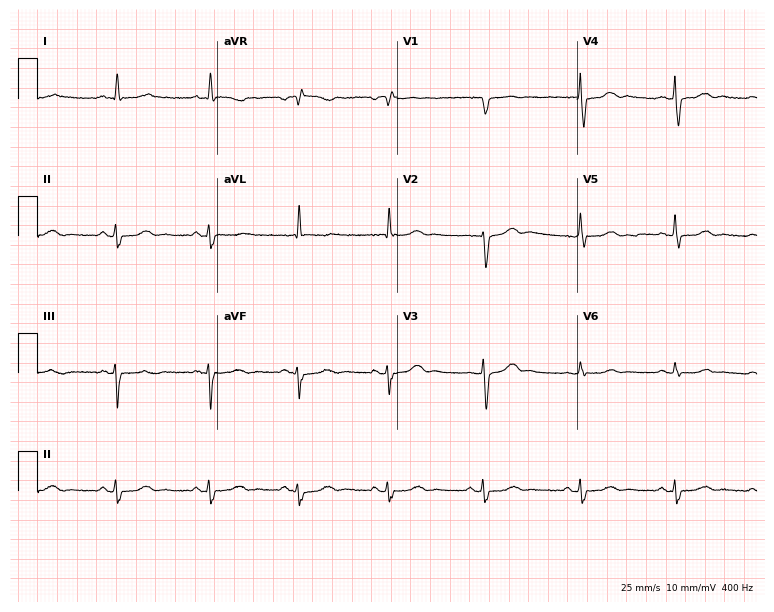
Standard 12-lead ECG recorded from a 70-year-old female. None of these six findings is recorded: first-degree AV block, right bundle branch block (RBBB), left bundle branch block (LBBB), sinus bradycardia, atrial fibrillation (AF), sinus tachycardia.